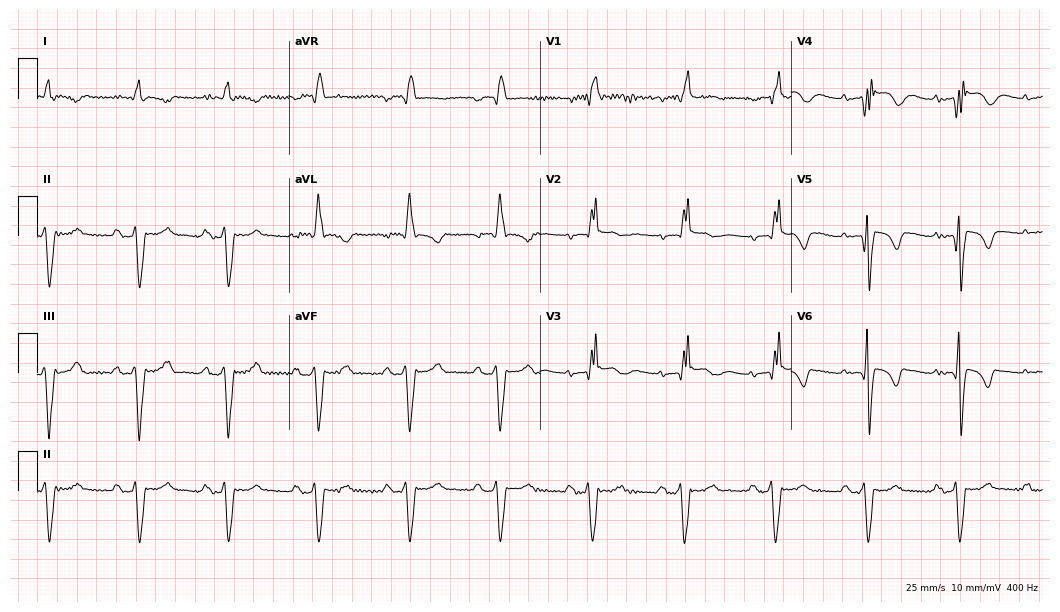
Resting 12-lead electrocardiogram (10.2-second recording at 400 Hz). Patient: a male, 78 years old. The tracing shows right bundle branch block.